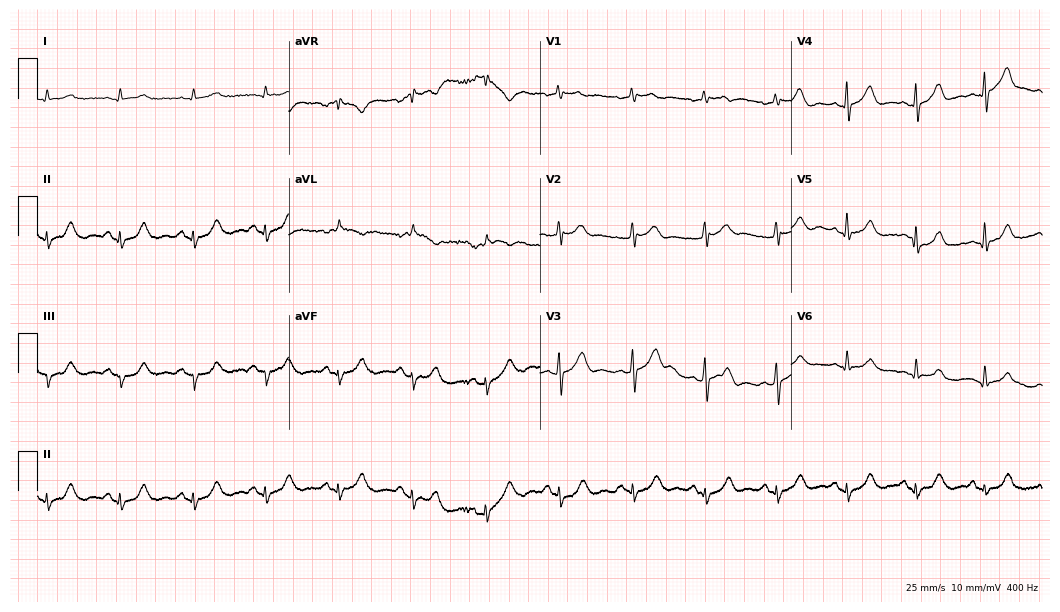
Resting 12-lead electrocardiogram (10.2-second recording at 400 Hz). Patient: a male, 70 years old. None of these six findings is recorded: first-degree AV block, right bundle branch block, left bundle branch block, sinus bradycardia, atrial fibrillation, sinus tachycardia.